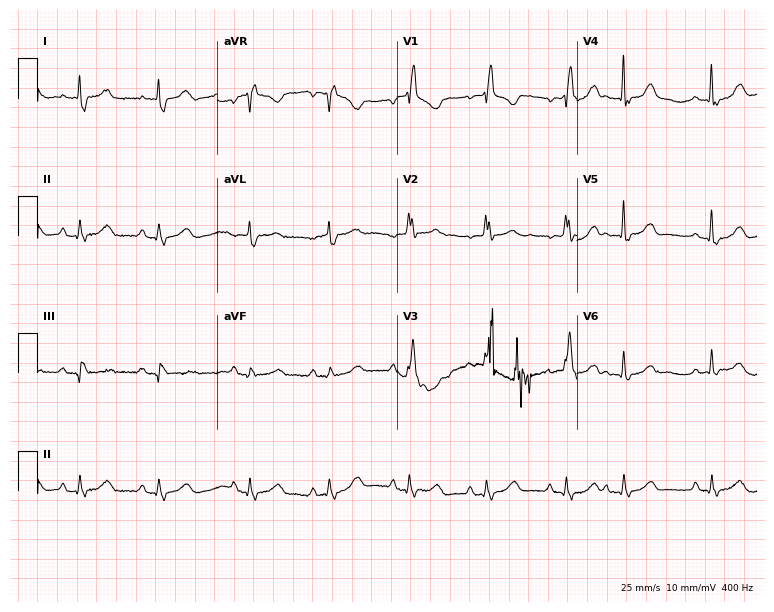
12-lead ECG from a female patient, 74 years old. Shows first-degree AV block, right bundle branch block (RBBB).